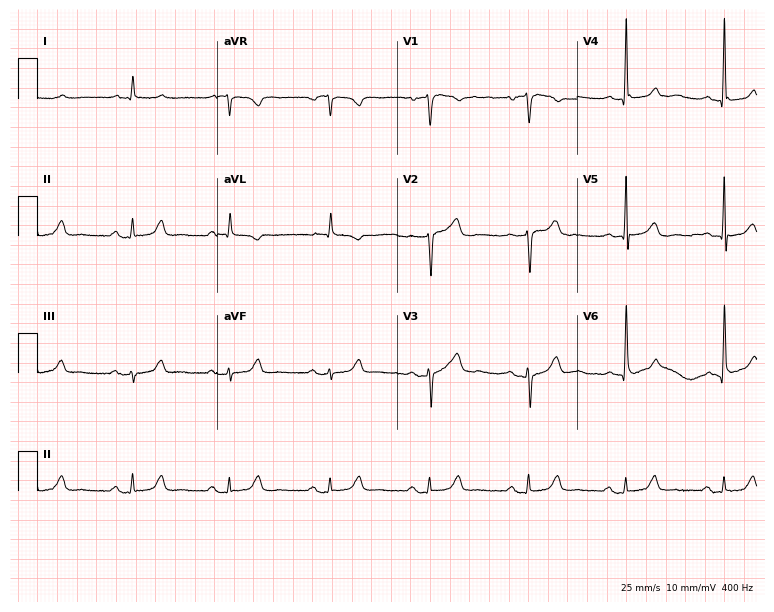
ECG — a male patient, 62 years old. Screened for six findings — first-degree AV block, right bundle branch block, left bundle branch block, sinus bradycardia, atrial fibrillation, sinus tachycardia — none is recorded. Findings outside these six are not listed.